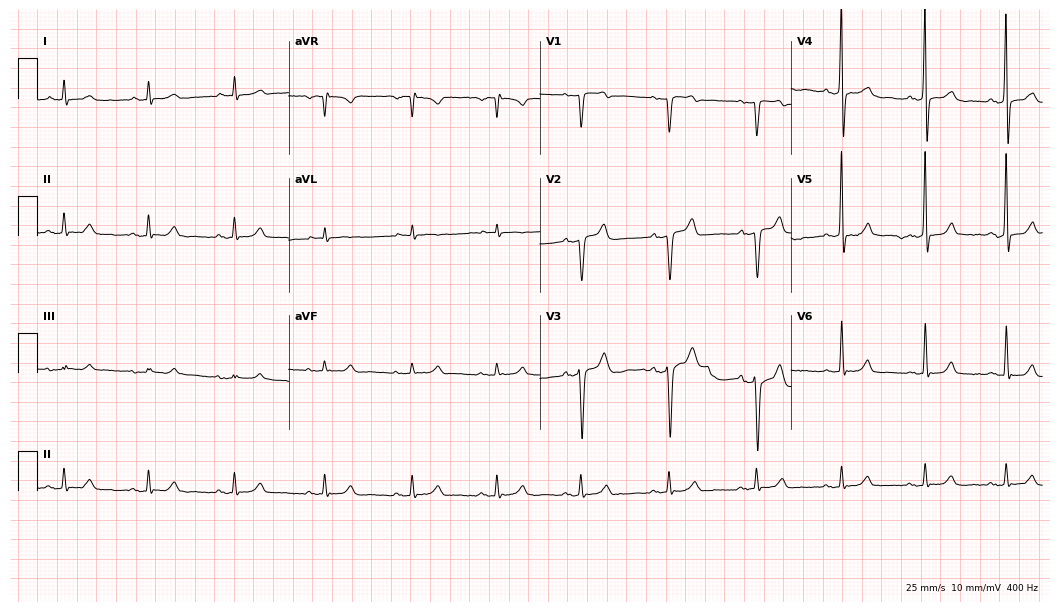
Standard 12-lead ECG recorded from a man, 48 years old. None of these six findings is recorded: first-degree AV block, right bundle branch block, left bundle branch block, sinus bradycardia, atrial fibrillation, sinus tachycardia. Findings outside these six are not listed.